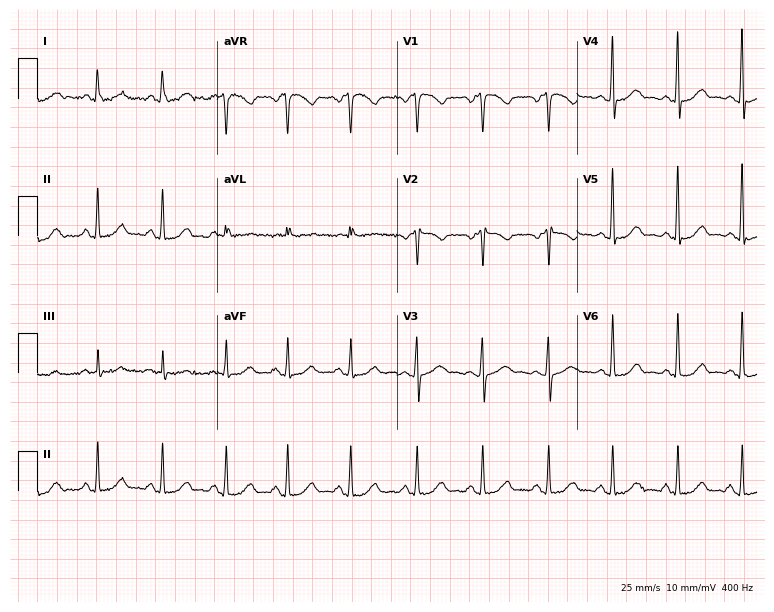
ECG — a female patient, 43 years old. Labelled as a normal ECG.